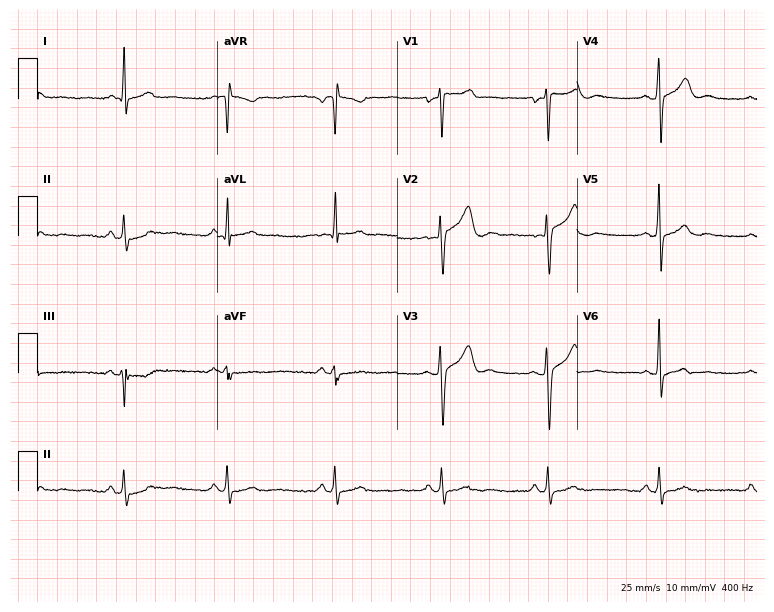
12-lead ECG (7.3-second recording at 400 Hz) from a man, 45 years old. Screened for six findings — first-degree AV block, right bundle branch block, left bundle branch block, sinus bradycardia, atrial fibrillation, sinus tachycardia — none is recorded.